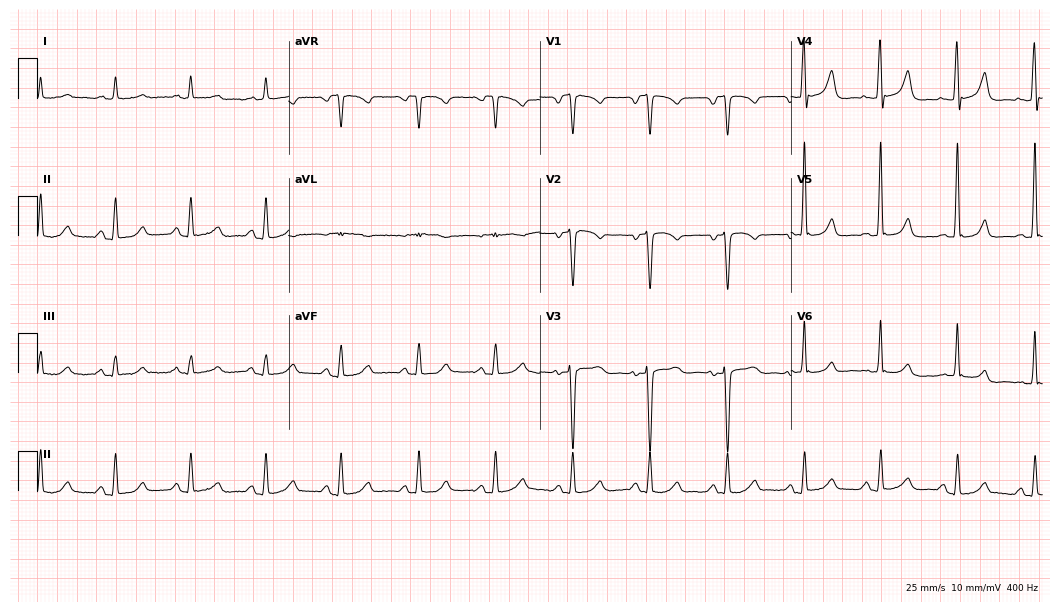
Electrocardiogram (10.2-second recording at 400 Hz), a male patient, 61 years old. Of the six screened findings (first-degree AV block, right bundle branch block, left bundle branch block, sinus bradycardia, atrial fibrillation, sinus tachycardia), none is recorded.